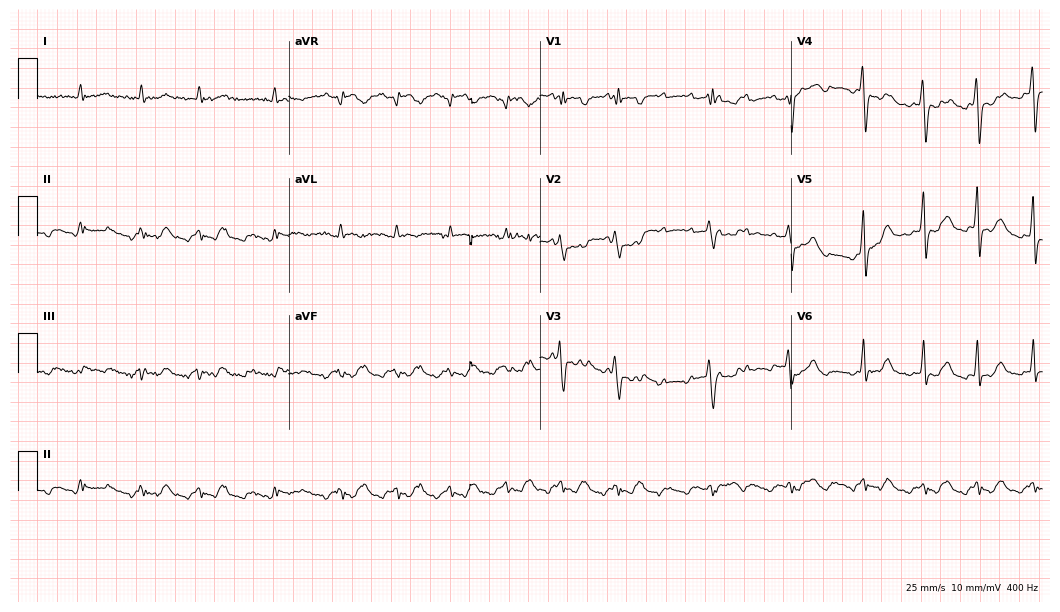
Resting 12-lead electrocardiogram (10.2-second recording at 400 Hz). Patient: a 75-year-old male. None of these six findings is recorded: first-degree AV block, right bundle branch block, left bundle branch block, sinus bradycardia, atrial fibrillation, sinus tachycardia.